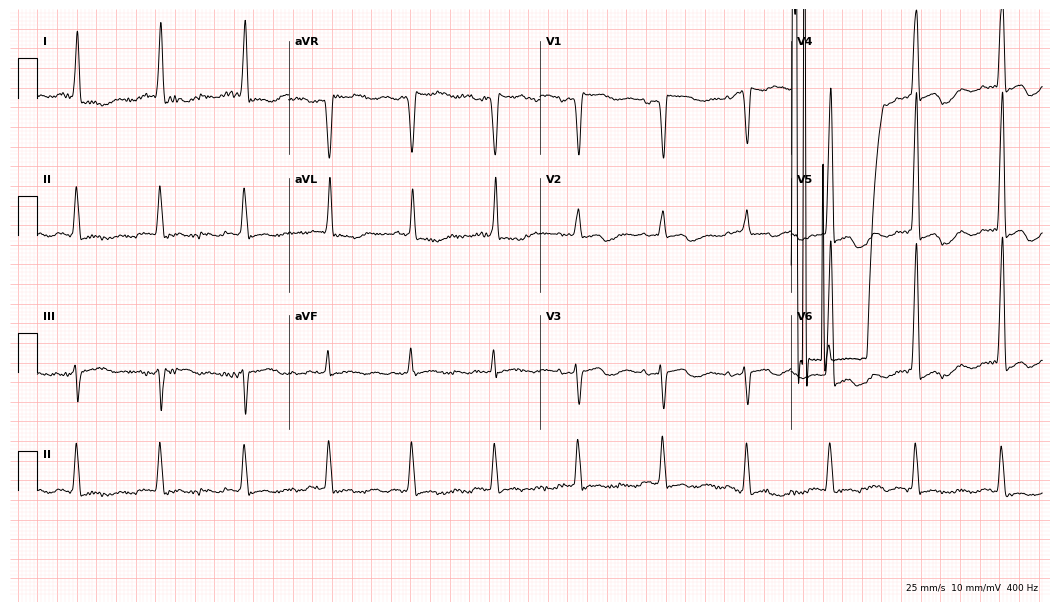
12-lead ECG from an 82-year-old female patient (10.2-second recording at 400 Hz). Shows left bundle branch block.